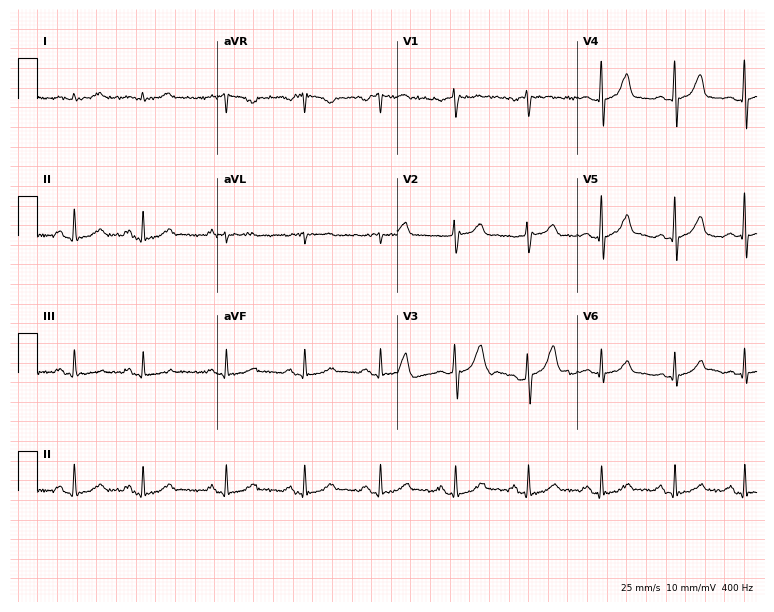
Electrocardiogram (7.3-second recording at 400 Hz), a male patient, 60 years old. Overall reading on record: normal ECG.